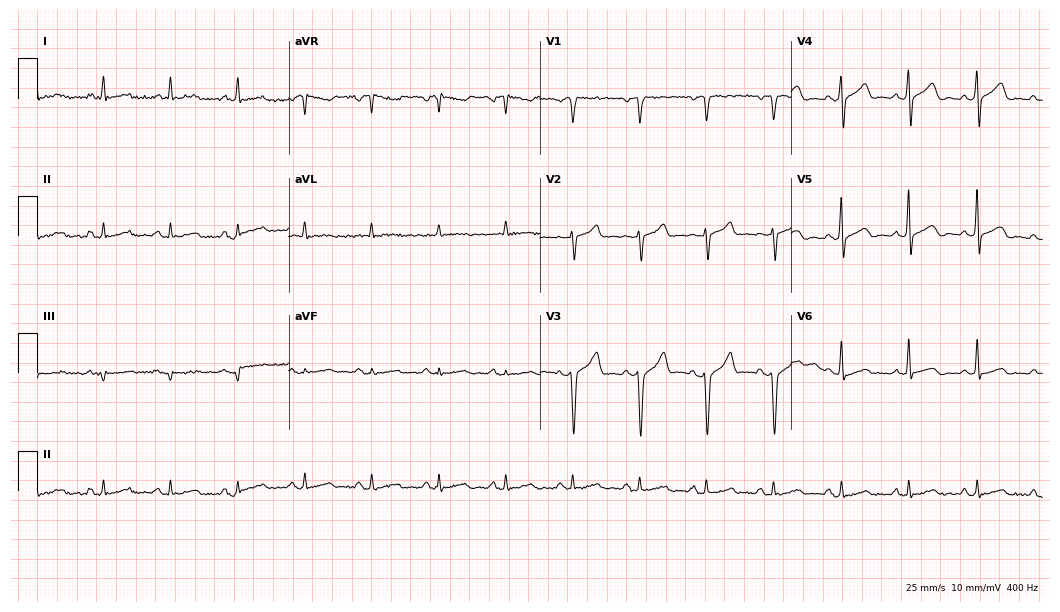
Standard 12-lead ECG recorded from a 51-year-old male patient. Read as a normal ECG.